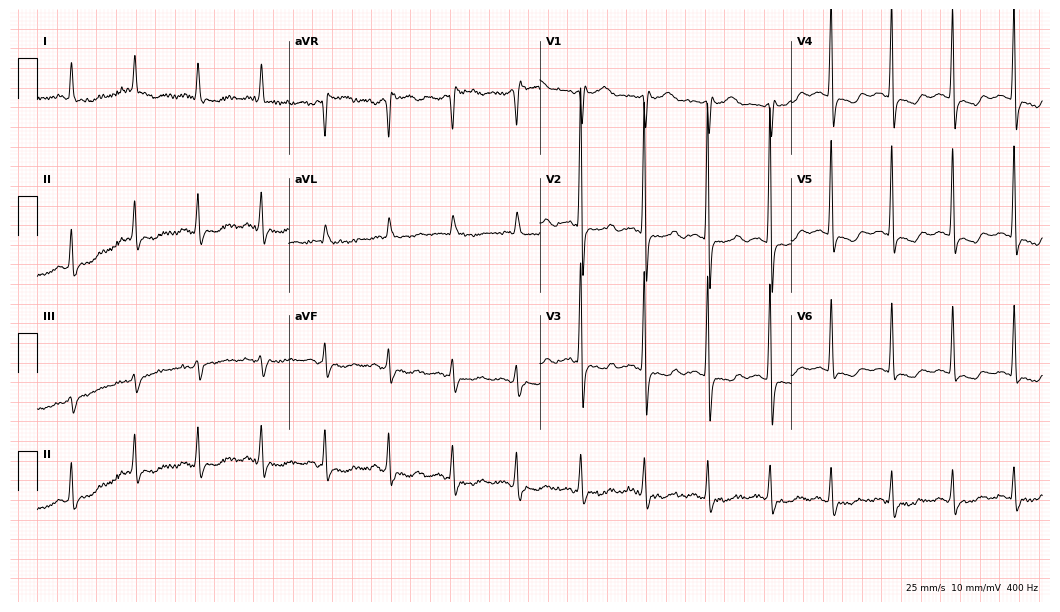
Resting 12-lead electrocardiogram (10.2-second recording at 400 Hz). Patient: a male, 72 years old. None of these six findings is recorded: first-degree AV block, right bundle branch block, left bundle branch block, sinus bradycardia, atrial fibrillation, sinus tachycardia.